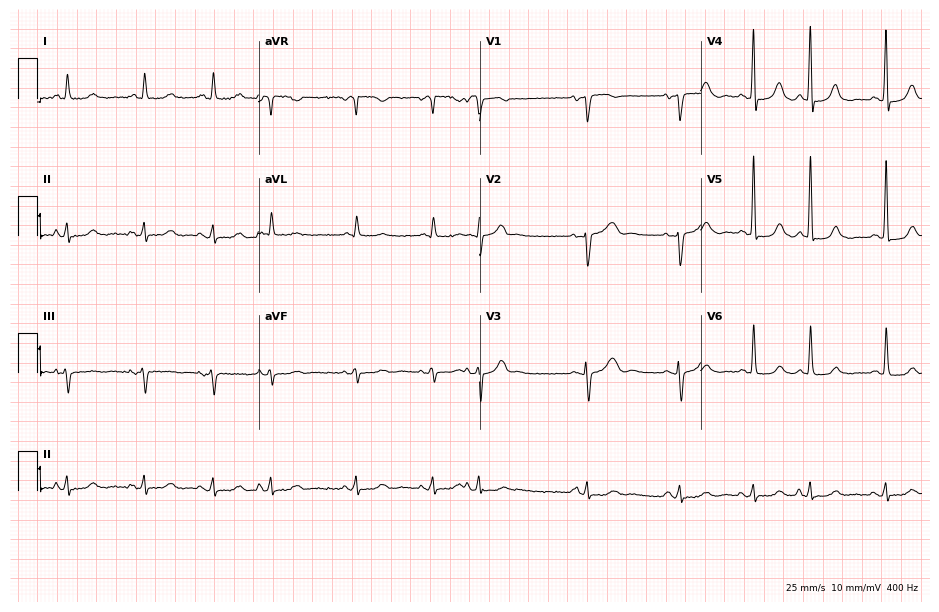
ECG (9-second recording at 400 Hz) — an 80-year-old woman. Screened for six findings — first-degree AV block, right bundle branch block, left bundle branch block, sinus bradycardia, atrial fibrillation, sinus tachycardia — none is recorded. Only these six findings were labelled.